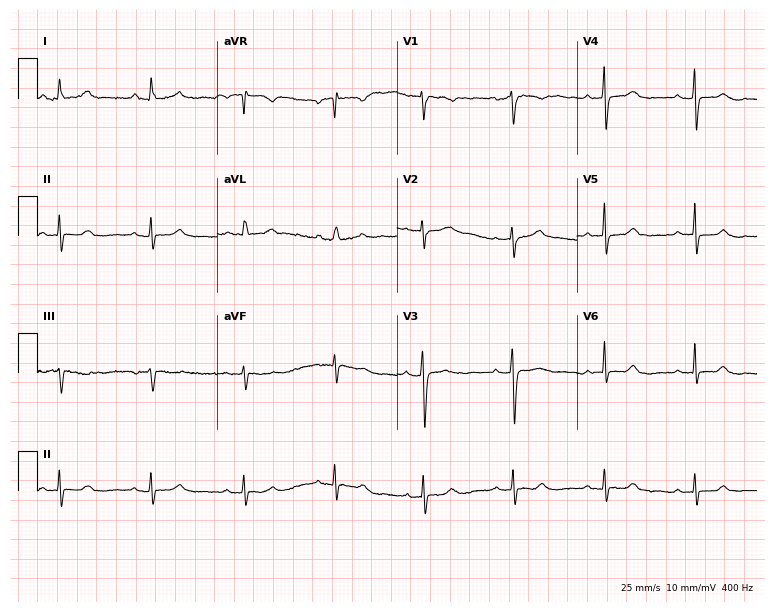
ECG (7.3-second recording at 400 Hz) — a 54-year-old woman. Labelled as a normal ECG.